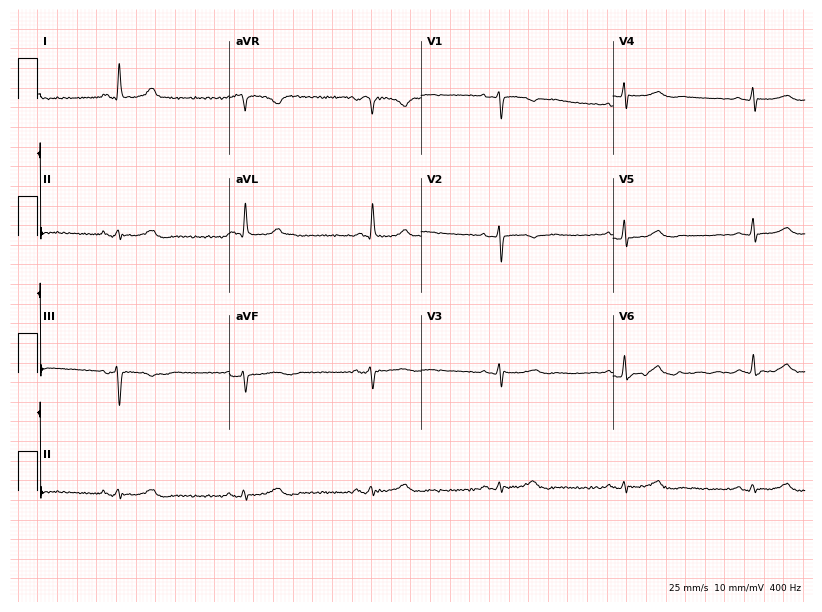
Electrocardiogram, a female, 80 years old. Of the six screened findings (first-degree AV block, right bundle branch block, left bundle branch block, sinus bradycardia, atrial fibrillation, sinus tachycardia), none is recorded.